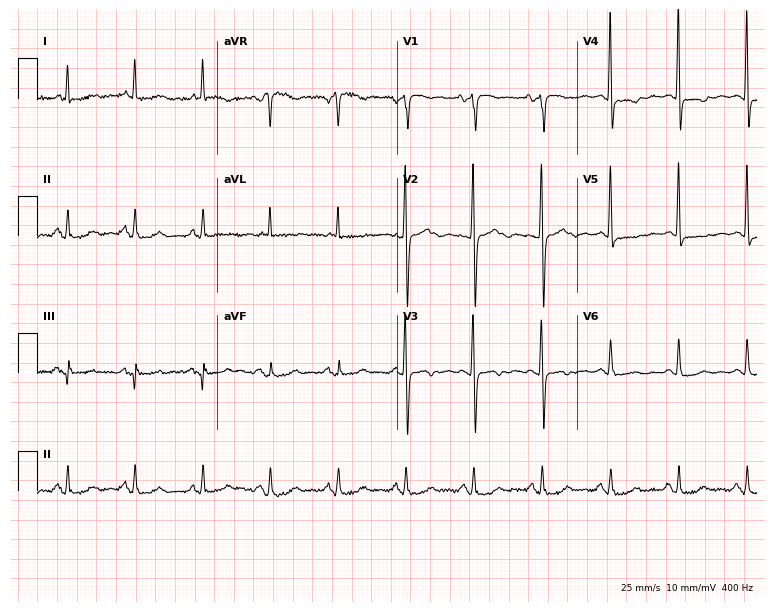
Standard 12-lead ECG recorded from a female patient, 80 years old. None of these six findings is recorded: first-degree AV block, right bundle branch block, left bundle branch block, sinus bradycardia, atrial fibrillation, sinus tachycardia.